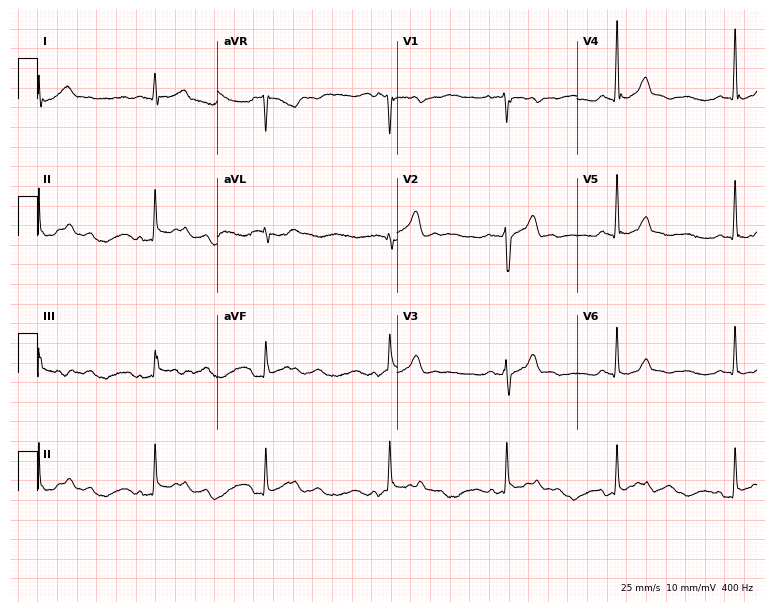
ECG — a male, 27 years old. Labelled as a normal ECG.